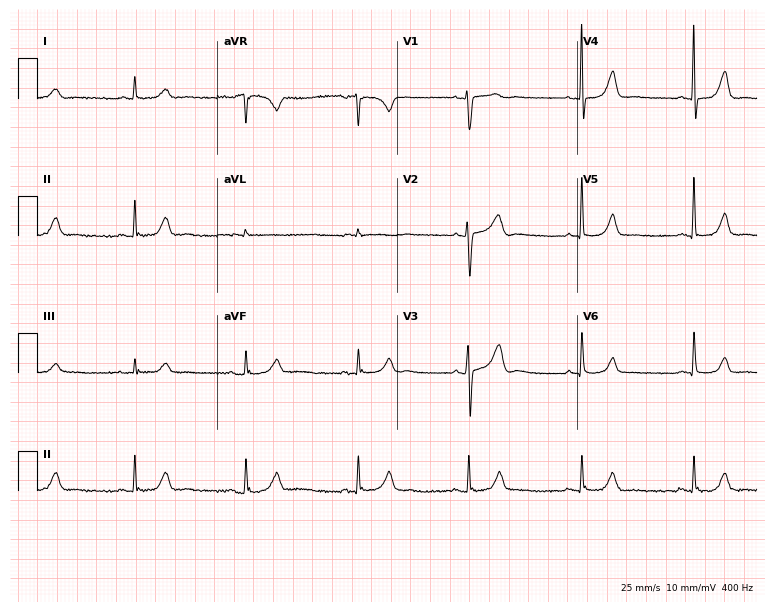
ECG — a 58-year-old male. Screened for six findings — first-degree AV block, right bundle branch block, left bundle branch block, sinus bradycardia, atrial fibrillation, sinus tachycardia — none is recorded. Other findings, if any, are not listed.